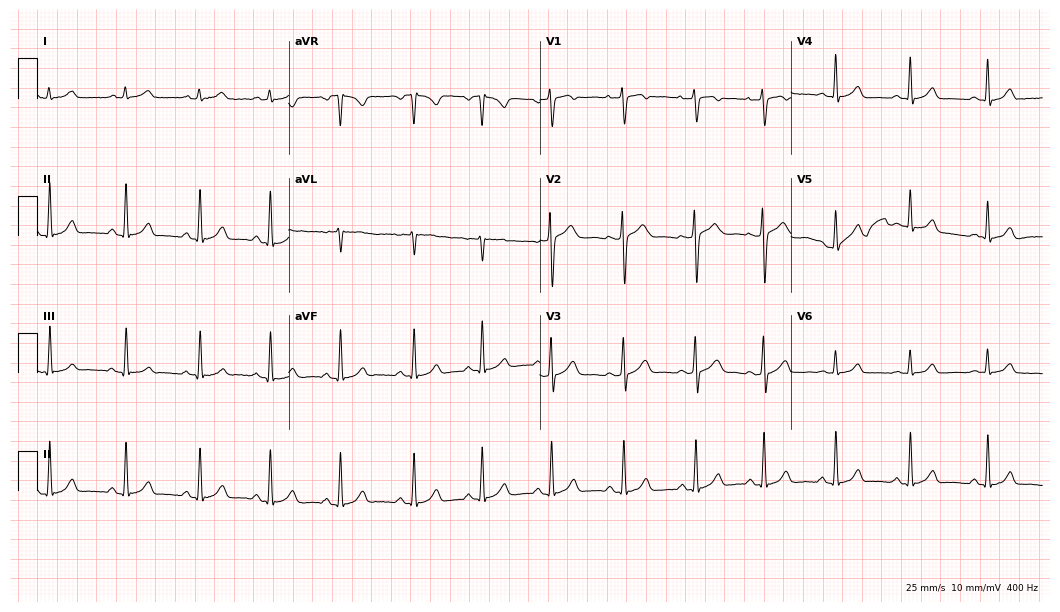
Electrocardiogram, a 28-year-old woman. Of the six screened findings (first-degree AV block, right bundle branch block, left bundle branch block, sinus bradycardia, atrial fibrillation, sinus tachycardia), none is recorded.